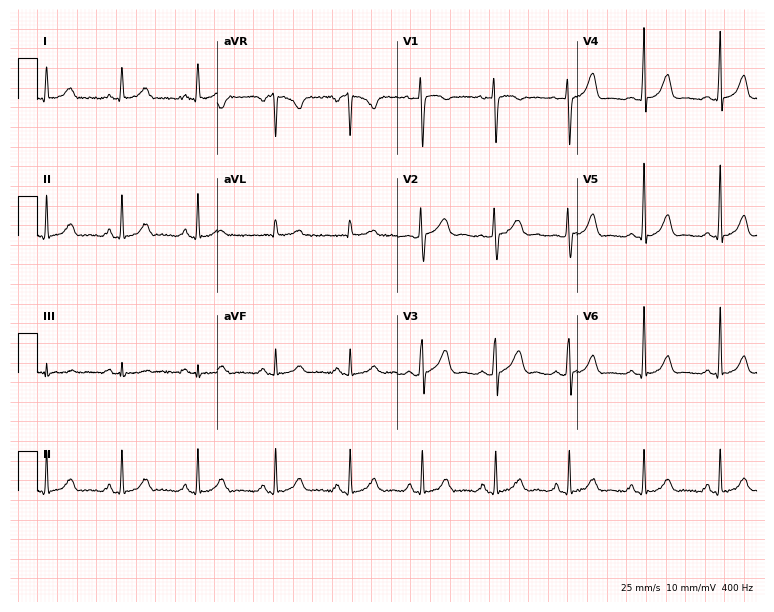
ECG — a woman, 43 years old. Screened for six findings — first-degree AV block, right bundle branch block (RBBB), left bundle branch block (LBBB), sinus bradycardia, atrial fibrillation (AF), sinus tachycardia — none is recorded. Only these six findings were labelled.